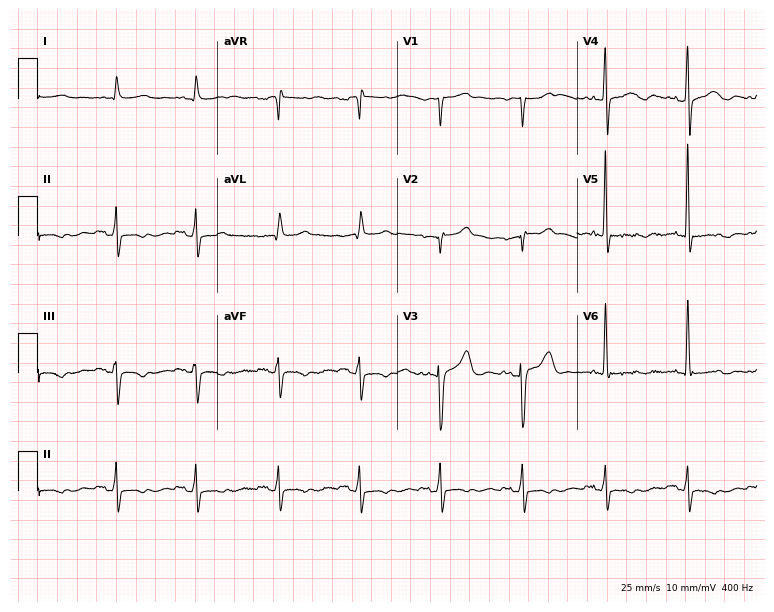
Standard 12-lead ECG recorded from an 84-year-old male (7.3-second recording at 400 Hz). None of these six findings is recorded: first-degree AV block, right bundle branch block (RBBB), left bundle branch block (LBBB), sinus bradycardia, atrial fibrillation (AF), sinus tachycardia.